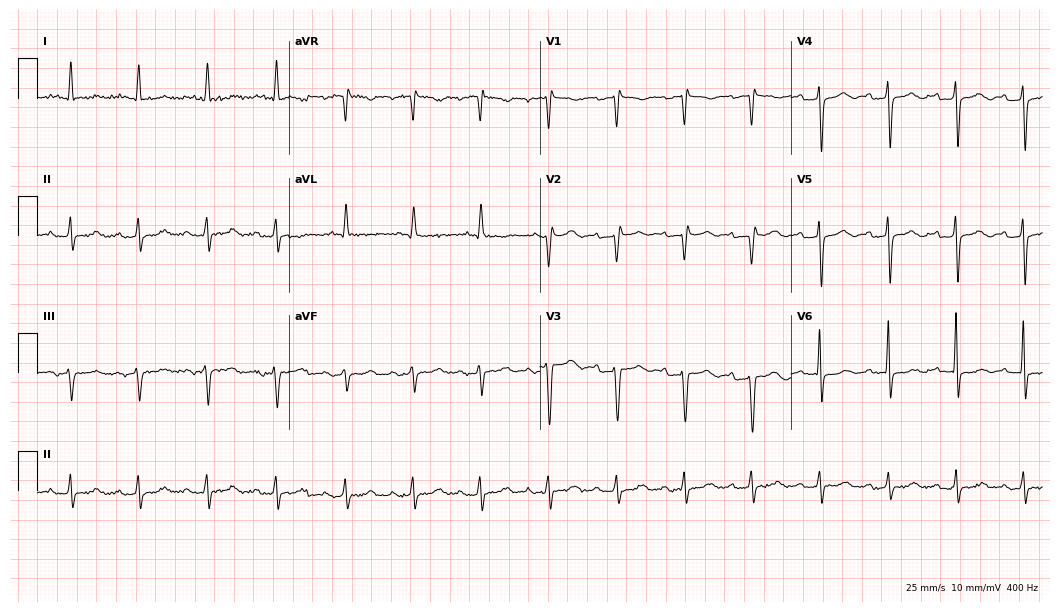
Electrocardiogram, a 63-year-old woman. Of the six screened findings (first-degree AV block, right bundle branch block (RBBB), left bundle branch block (LBBB), sinus bradycardia, atrial fibrillation (AF), sinus tachycardia), none is recorded. Findings outside these six are not listed.